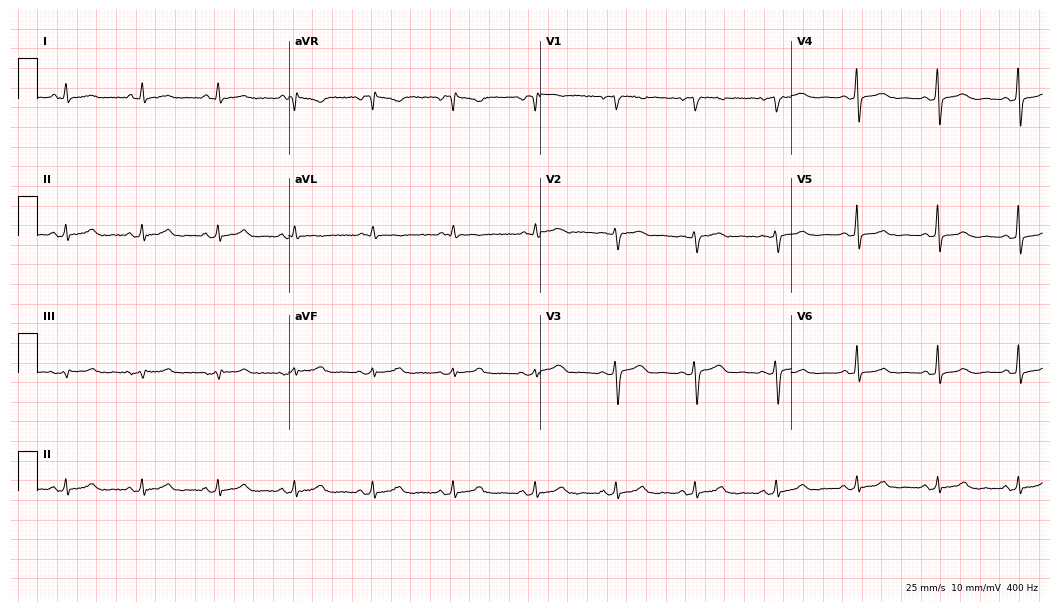
12-lead ECG from a woman, 54 years old. Labelled as a normal ECG.